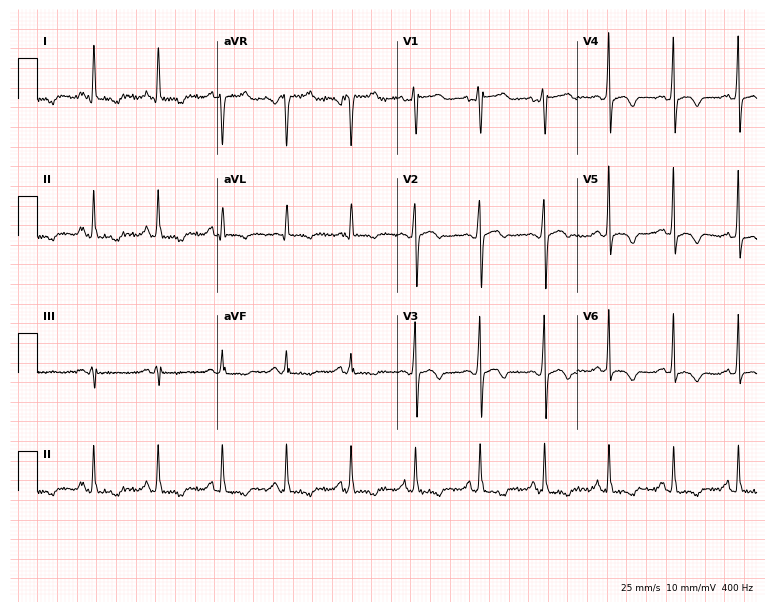
Resting 12-lead electrocardiogram. Patient: a female, 57 years old. None of these six findings is recorded: first-degree AV block, right bundle branch block (RBBB), left bundle branch block (LBBB), sinus bradycardia, atrial fibrillation (AF), sinus tachycardia.